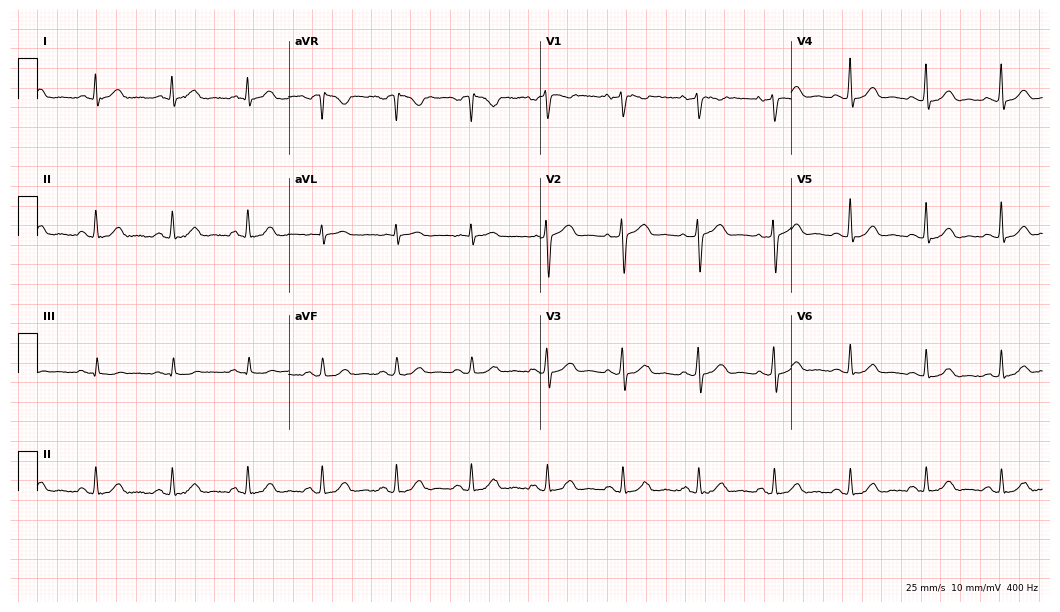
Standard 12-lead ECG recorded from a male, 56 years old (10.2-second recording at 400 Hz). Read as a normal ECG.